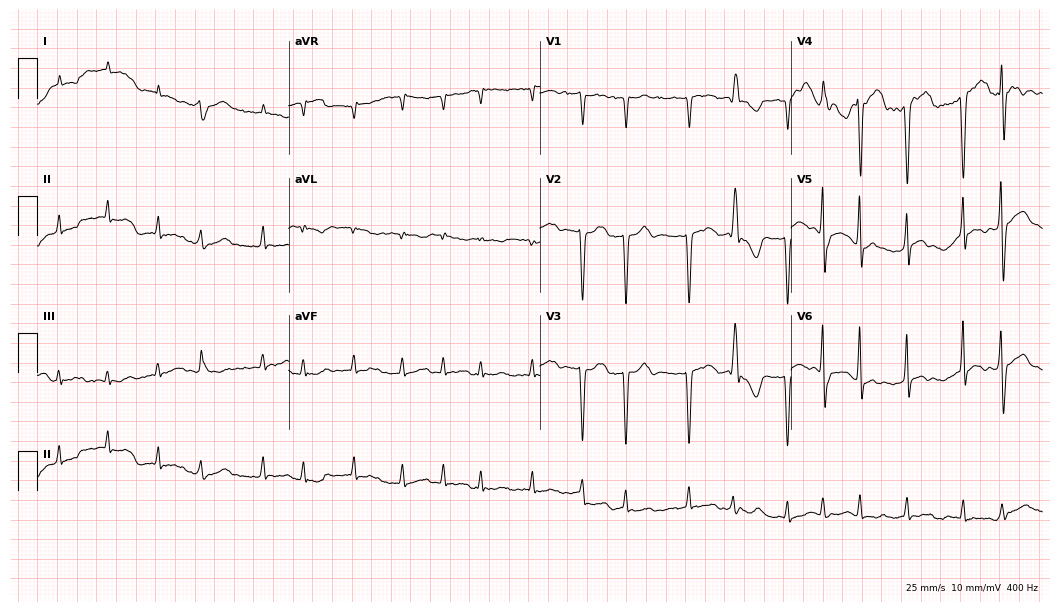
ECG (10.2-second recording at 400 Hz) — a female, 71 years old. Findings include atrial fibrillation.